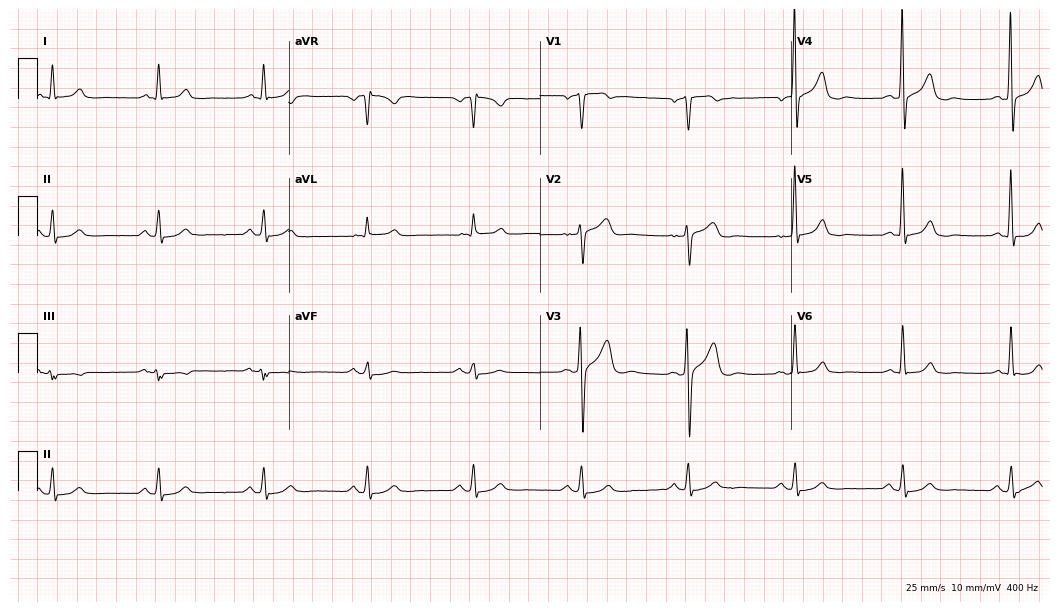
12-lead ECG from a 58-year-old male patient. Recorded interpretation: within normal limits.